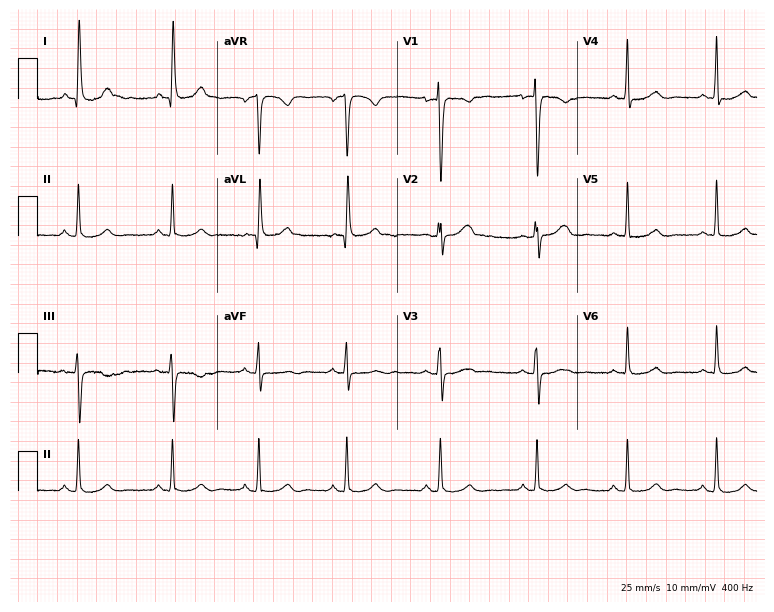
Electrocardiogram, a female patient, 48 years old. Overall reading on record: normal ECG.